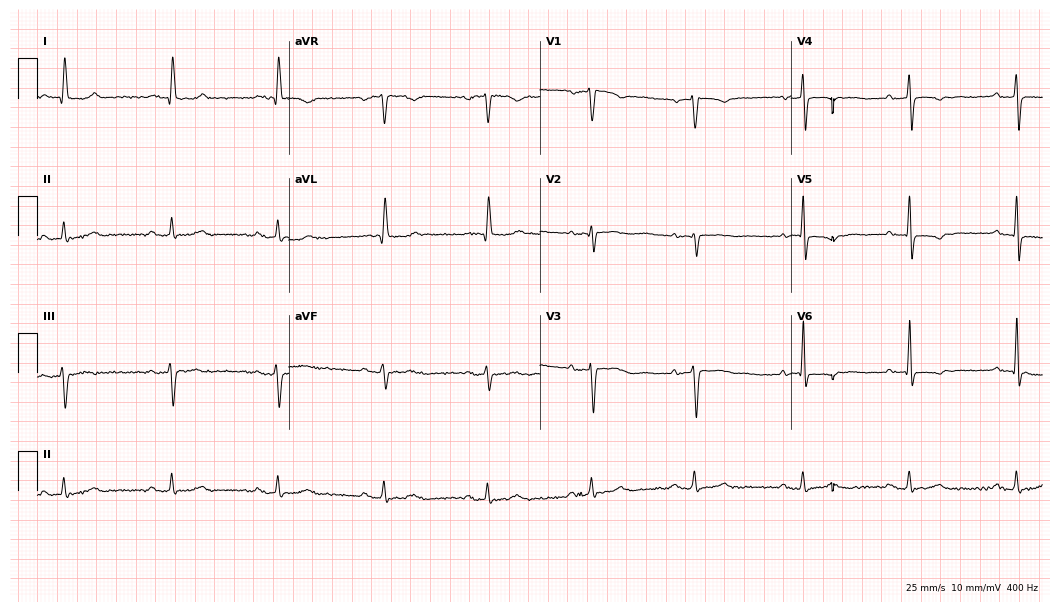
Standard 12-lead ECG recorded from a 74-year-old man. None of these six findings is recorded: first-degree AV block, right bundle branch block, left bundle branch block, sinus bradycardia, atrial fibrillation, sinus tachycardia.